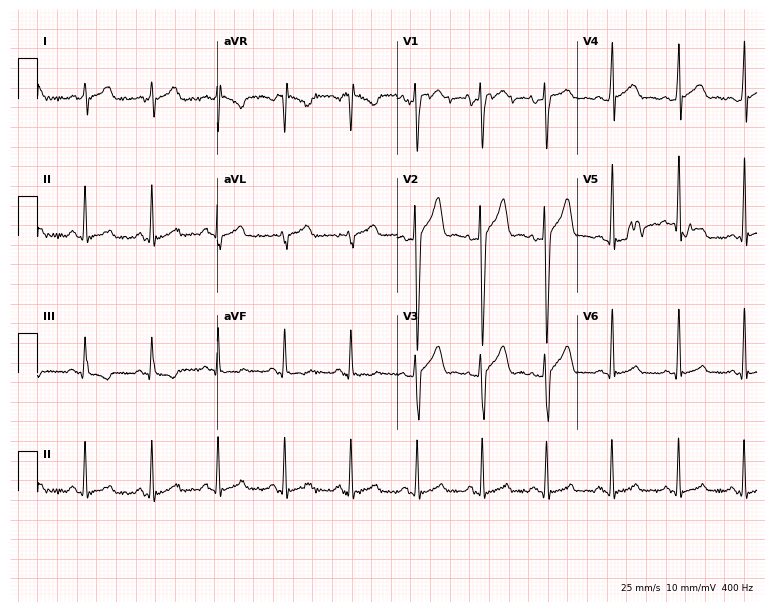
Standard 12-lead ECG recorded from a 22-year-old man (7.3-second recording at 400 Hz). None of these six findings is recorded: first-degree AV block, right bundle branch block, left bundle branch block, sinus bradycardia, atrial fibrillation, sinus tachycardia. Other findings, if any, are not listed.